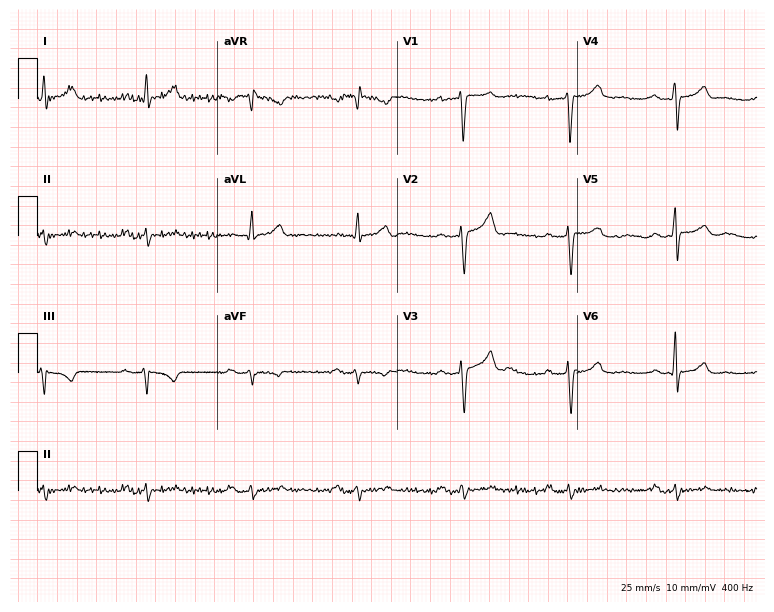
12-lead ECG from a 62-year-old male patient. Screened for six findings — first-degree AV block, right bundle branch block, left bundle branch block, sinus bradycardia, atrial fibrillation, sinus tachycardia — none is recorded. Findings outside these six are not listed.